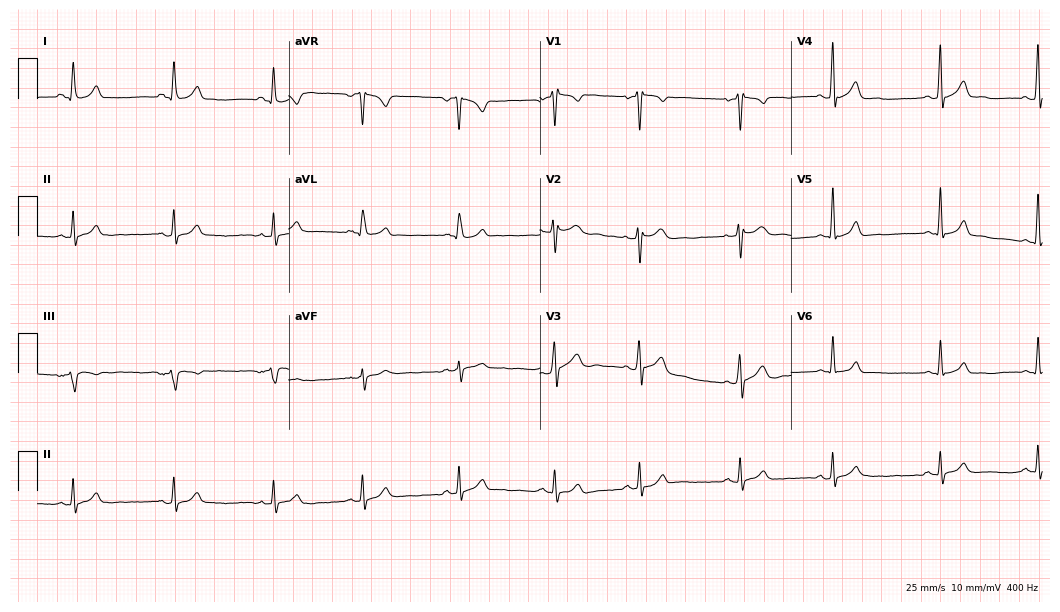
12-lead ECG from a male, 22 years old. Screened for six findings — first-degree AV block, right bundle branch block (RBBB), left bundle branch block (LBBB), sinus bradycardia, atrial fibrillation (AF), sinus tachycardia — none is recorded.